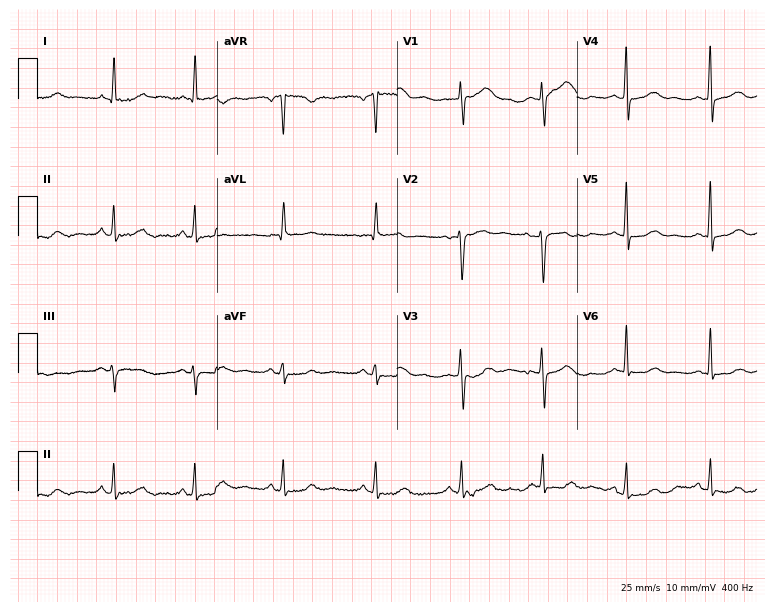
Standard 12-lead ECG recorded from a 52-year-old woman. Read as a normal ECG.